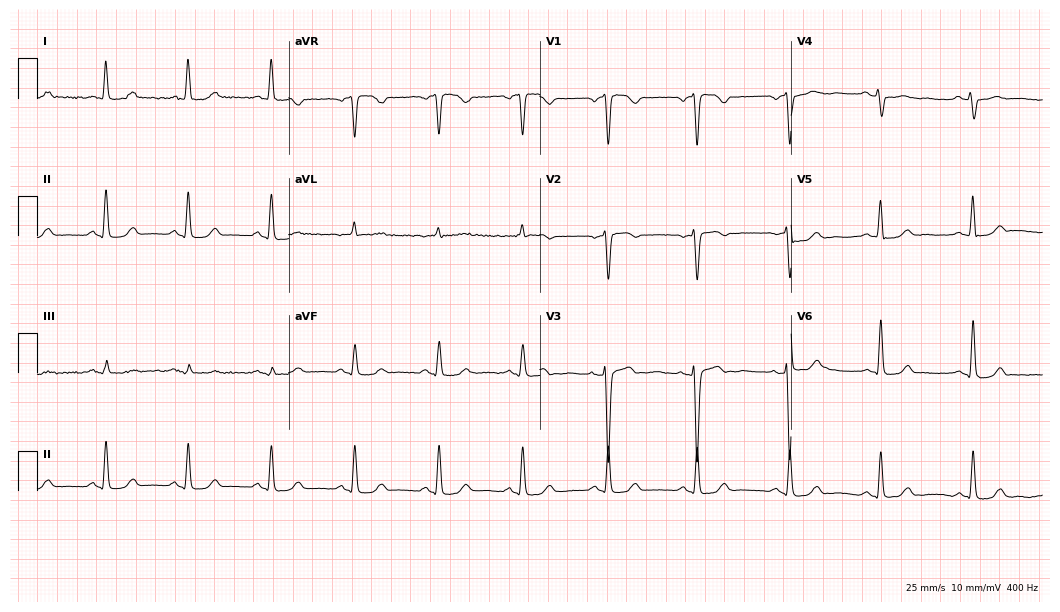
12-lead ECG from a female, 50 years old. No first-degree AV block, right bundle branch block, left bundle branch block, sinus bradycardia, atrial fibrillation or sinus tachycardia recorded for this tracing.